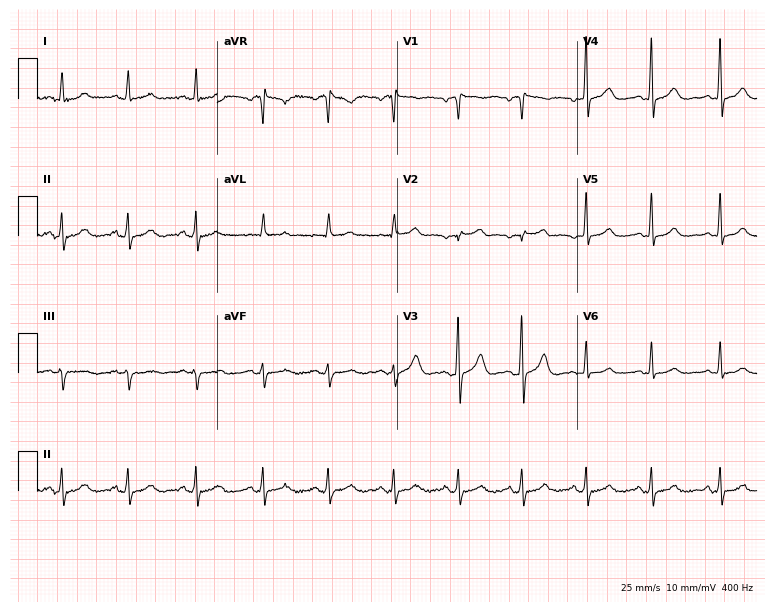
ECG (7.3-second recording at 400 Hz) — a woman, 55 years old. Screened for six findings — first-degree AV block, right bundle branch block, left bundle branch block, sinus bradycardia, atrial fibrillation, sinus tachycardia — none is recorded. Findings outside these six are not listed.